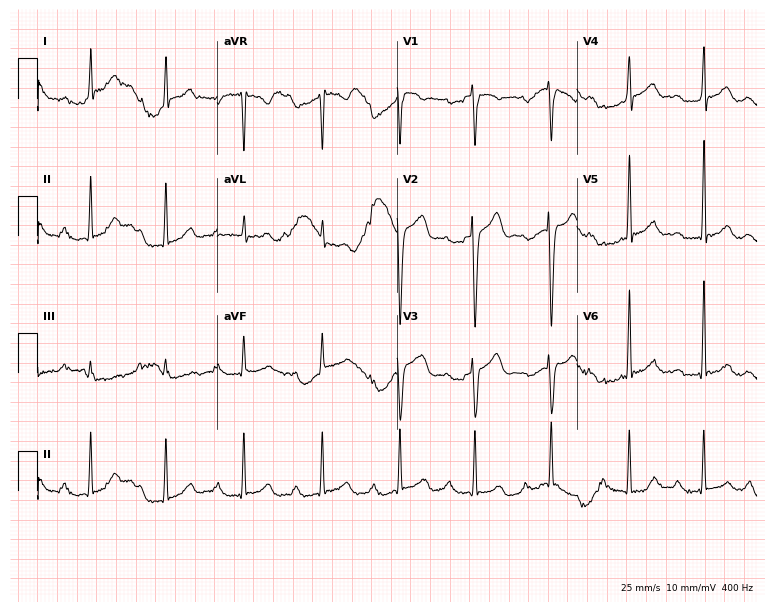
Resting 12-lead electrocardiogram (7.3-second recording at 400 Hz). Patient: a 31-year-old man. The tracing shows first-degree AV block.